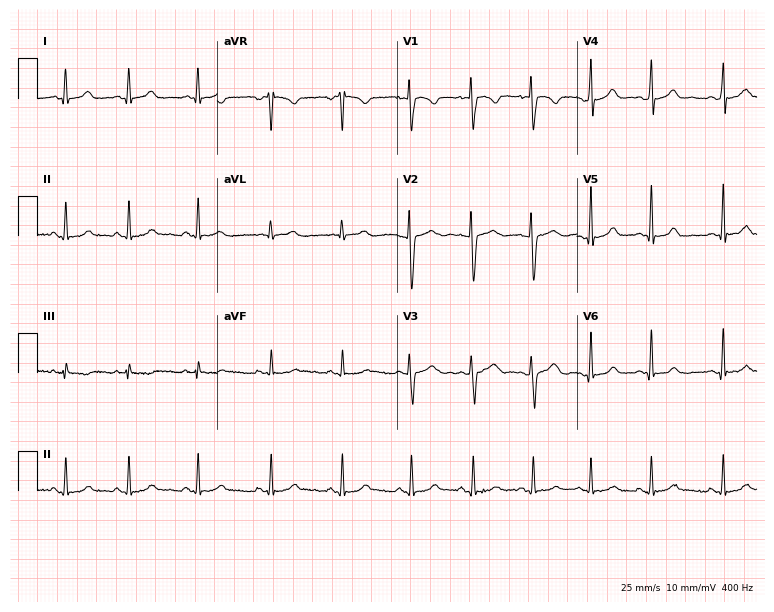
ECG (7.3-second recording at 400 Hz) — a 19-year-old female patient. Labelled as a normal ECG.